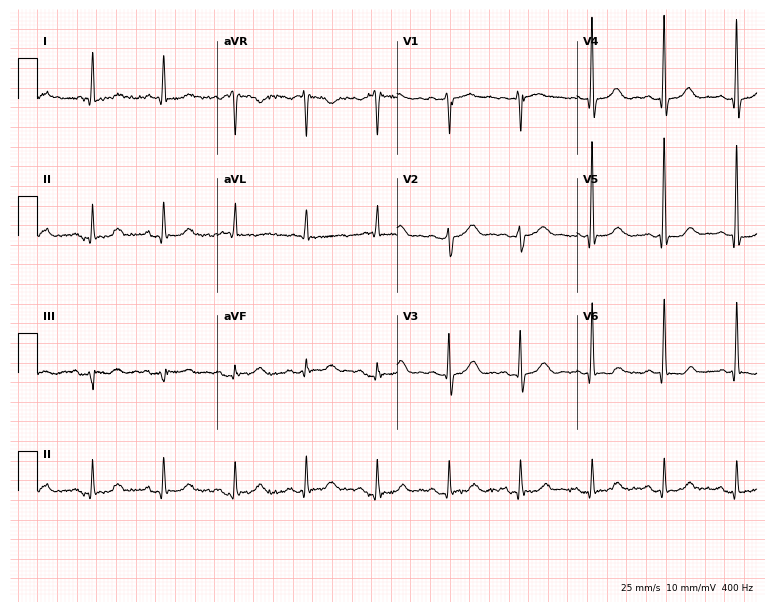
12-lead ECG (7.3-second recording at 400 Hz) from a woman, 69 years old. Screened for six findings — first-degree AV block, right bundle branch block, left bundle branch block, sinus bradycardia, atrial fibrillation, sinus tachycardia — none is recorded.